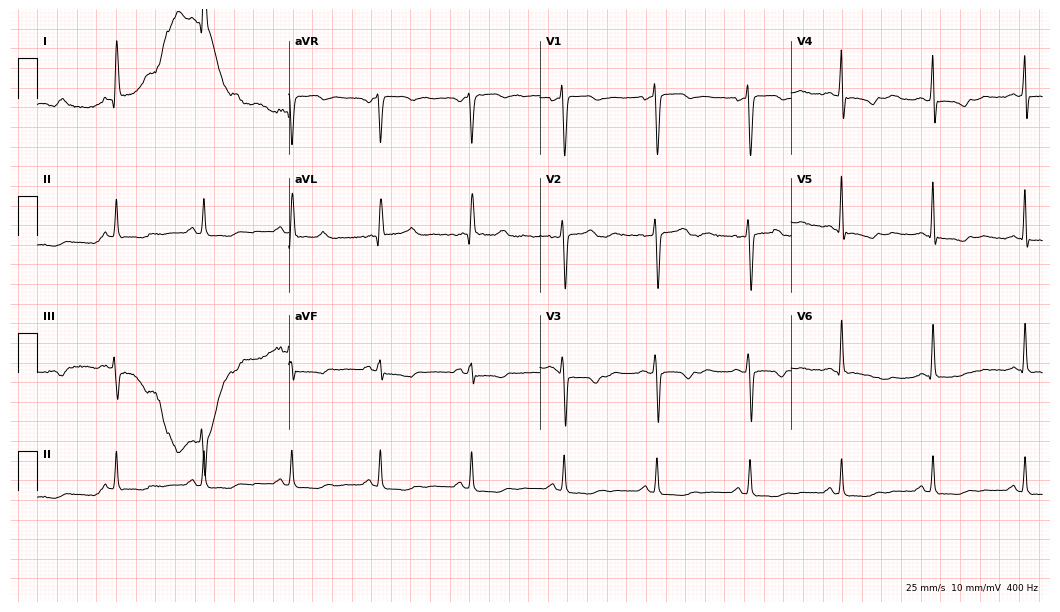
12-lead ECG from a 49-year-old female (10.2-second recording at 400 Hz). No first-degree AV block, right bundle branch block, left bundle branch block, sinus bradycardia, atrial fibrillation or sinus tachycardia recorded for this tracing. Other findings, if any, are not listed.